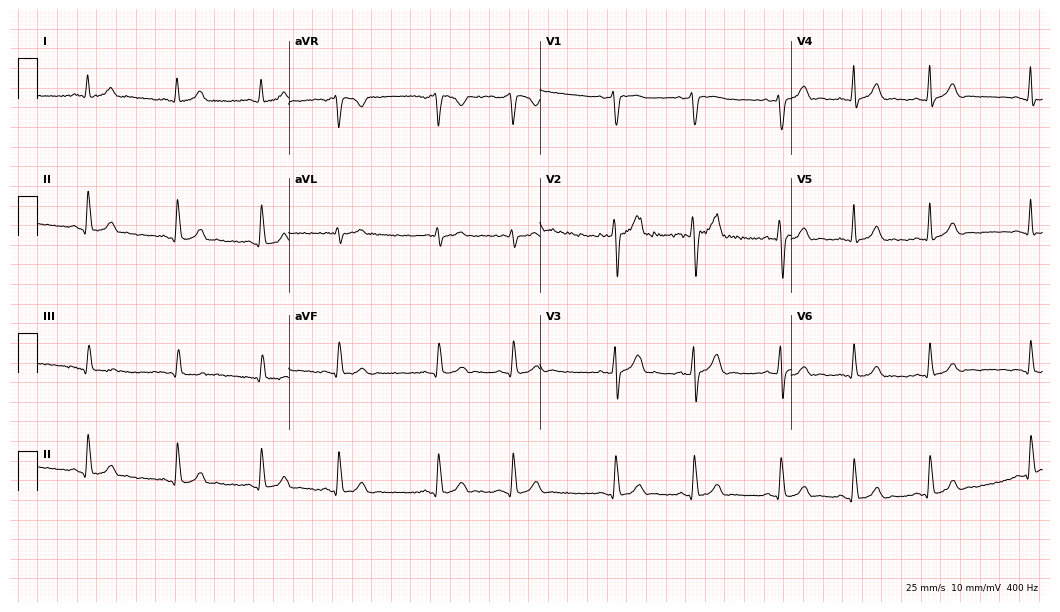
12-lead ECG from a man, 18 years old. Labelled as a normal ECG.